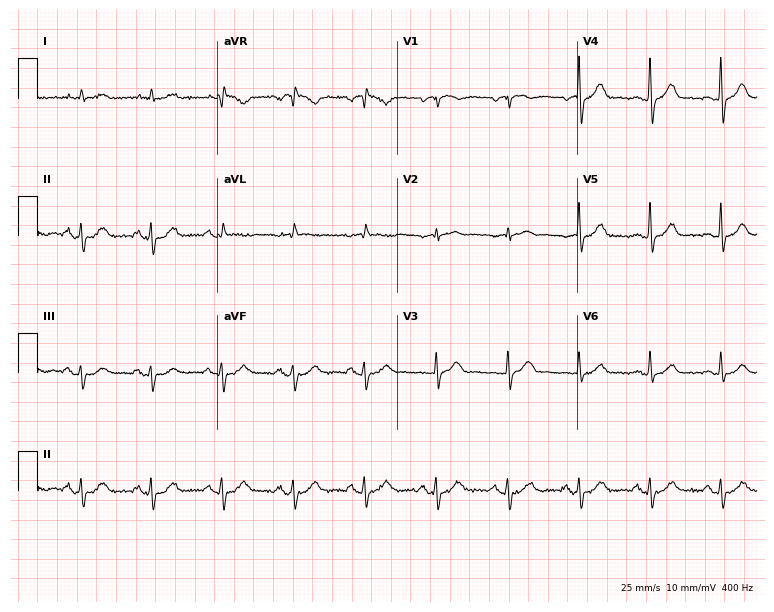
12-lead ECG from a male, 80 years old (7.3-second recording at 400 Hz). No first-degree AV block, right bundle branch block, left bundle branch block, sinus bradycardia, atrial fibrillation or sinus tachycardia recorded for this tracing. Only these six findings were labelled.